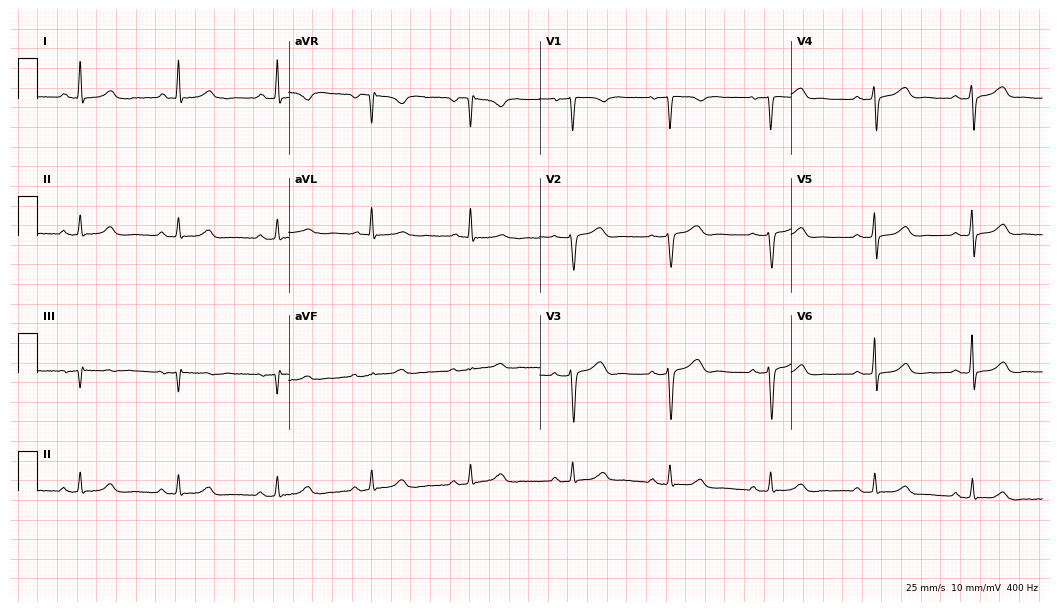
Resting 12-lead electrocardiogram (10.2-second recording at 400 Hz). Patient: a 54-year-old female. None of these six findings is recorded: first-degree AV block, right bundle branch block (RBBB), left bundle branch block (LBBB), sinus bradycardia, atrial fibrillation (AF), sinus tachycardia. Findings outside these six are not listed.